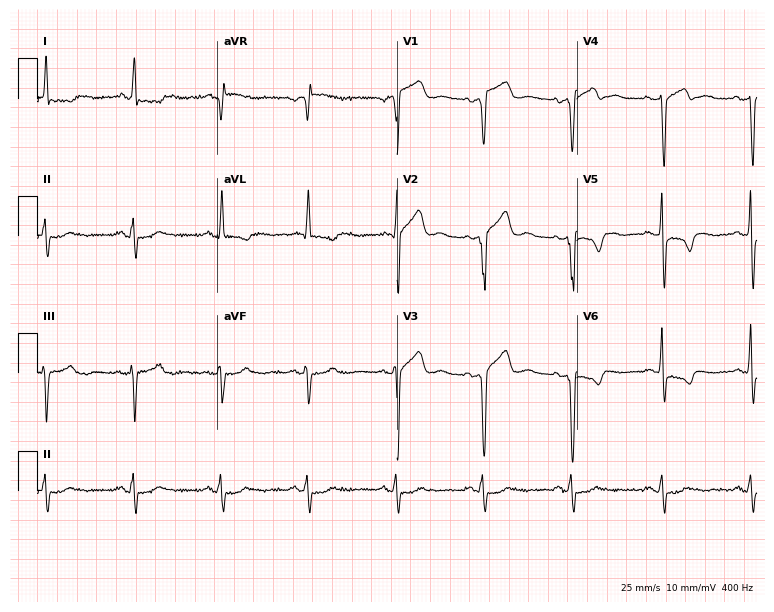
Resting 12-lead electrocardiogram. Patient: a man, 70 years old. None of these six findings is recorded: first-degree AV block, right bundle branch block, left bundle branch block, sinus bradycardia, atrial fibrillation, sinus tachycardia. Only these six findings were labelled.